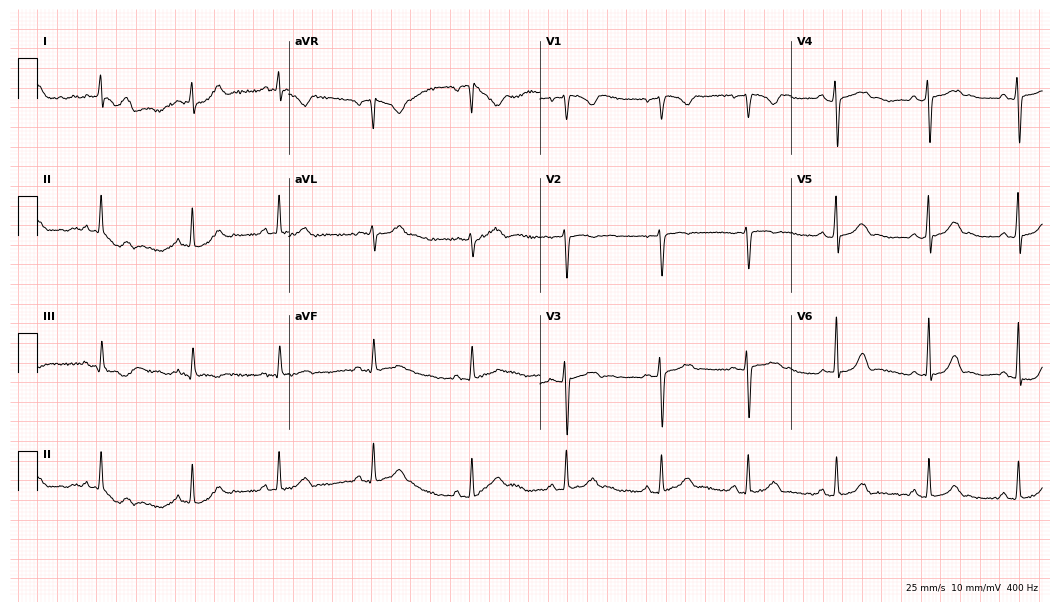
12-lead ECG from a 19-year-old female. Screened for six findings — first-degree AV block, right bundle branch block, left bundle branch block, sinus bradycardia, atrial fibrillation, sinus tachycardia — none is recorded.